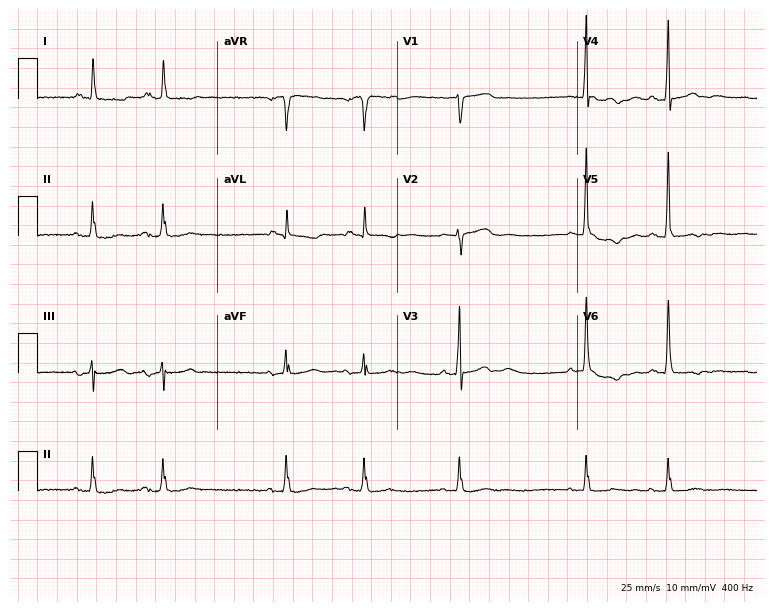
ECG — an 83-year-old man. Screened for six findings — first-degree AV block, right bundle branch block, left bundle branch block, sinus bradycardia, atrial fibrillation, sinus tachycardia — none is recorded. Other findings, if any, are not listed.